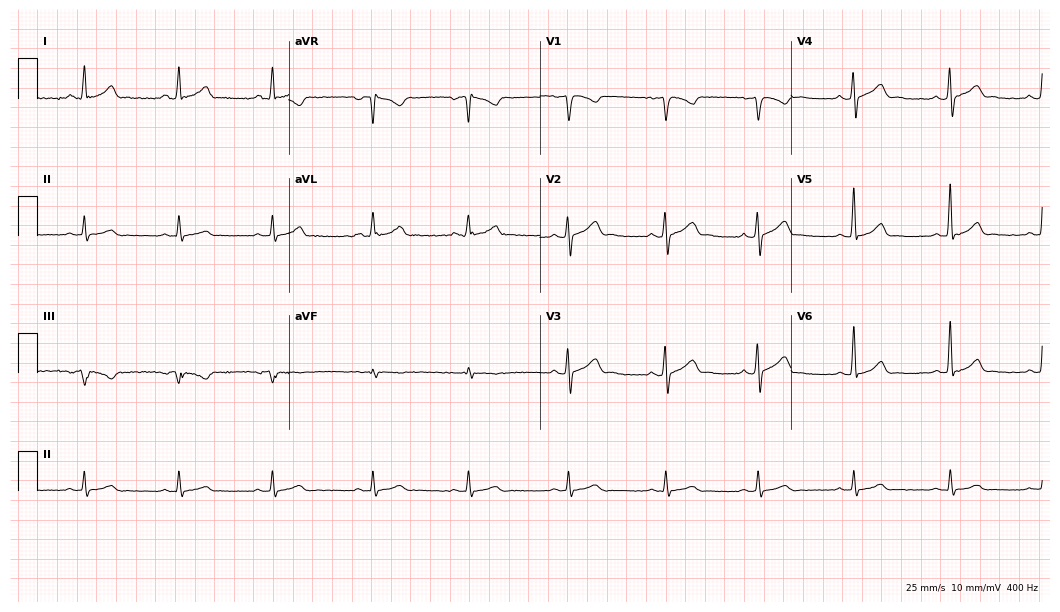
Electrocardiogram (10.2-second recording at 400 Hz), a 27-year-old man. Overall reading on record: normal ECG.